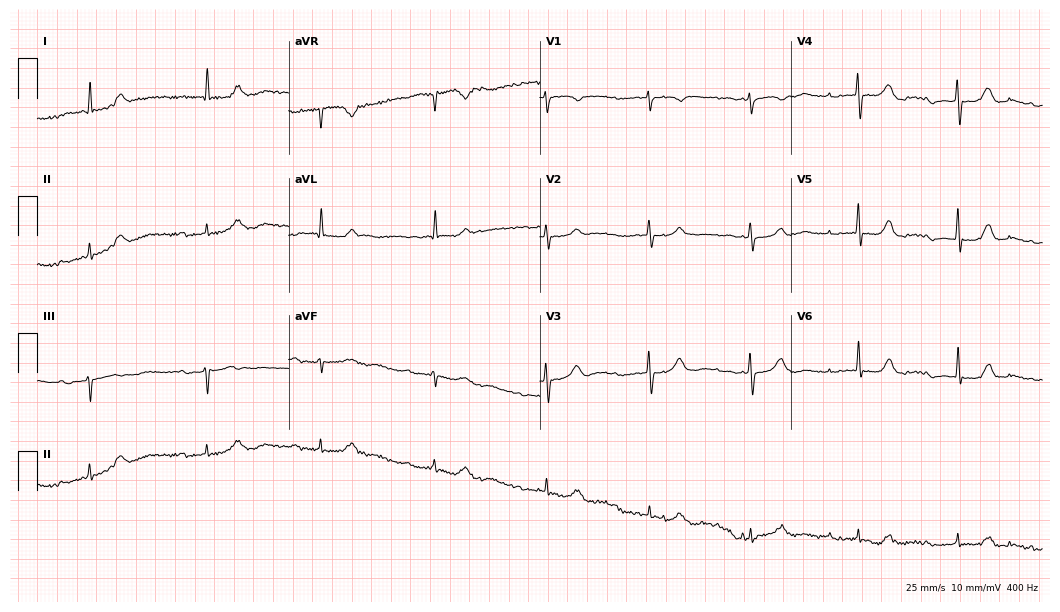
Electrocardiogram, a woman, 80 years old. Of the six screened findings (first-degree AV block, right bundle branch block (RBBB), left bundle branch block (LBBB), sinus bradycardia, atrial fibrillation (AF), sinus tachycardia), none is recorded.